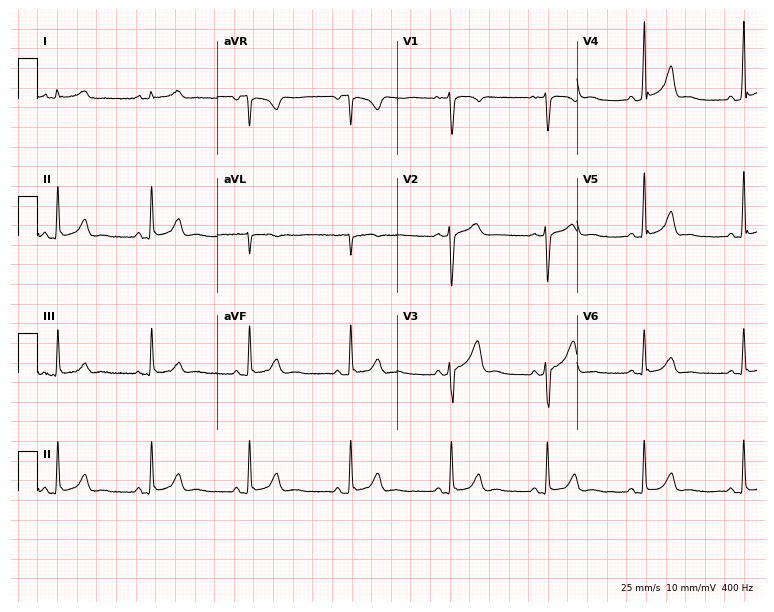
Electrocardiogram, a woman, 32 years old. Of the six screened findings (first-degree AV block, right bundle branch block, left bundle branch block, sinus bradycardia, atrial fibrillation, sinus tachycardia), none is recorded. Only these six findings were labelled.